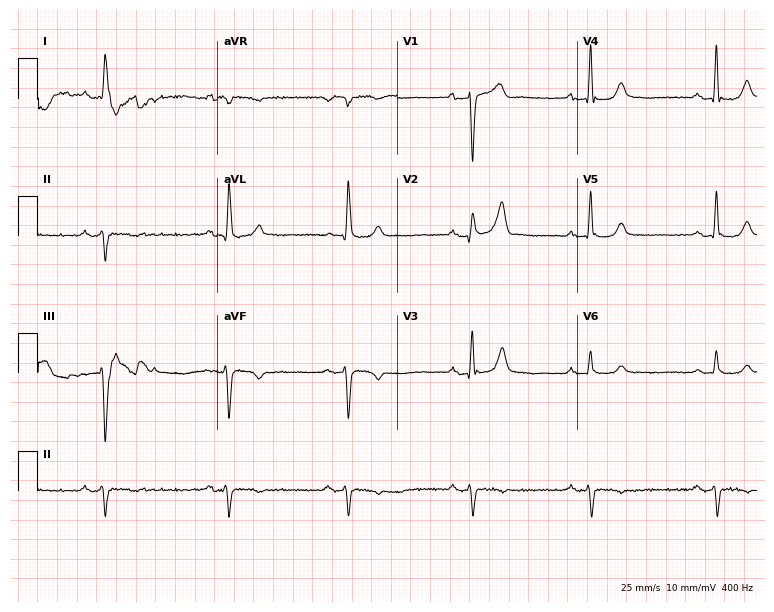
12-lead ECG (7.3-second recording at 400 Hz) from a man, 56 years old. Screened for six findings — first-degree AV block, right bundle branch block, left bundle branch block, sinus bradycardia, atrial fibrillation, sinus tachycardia — none is recorded.